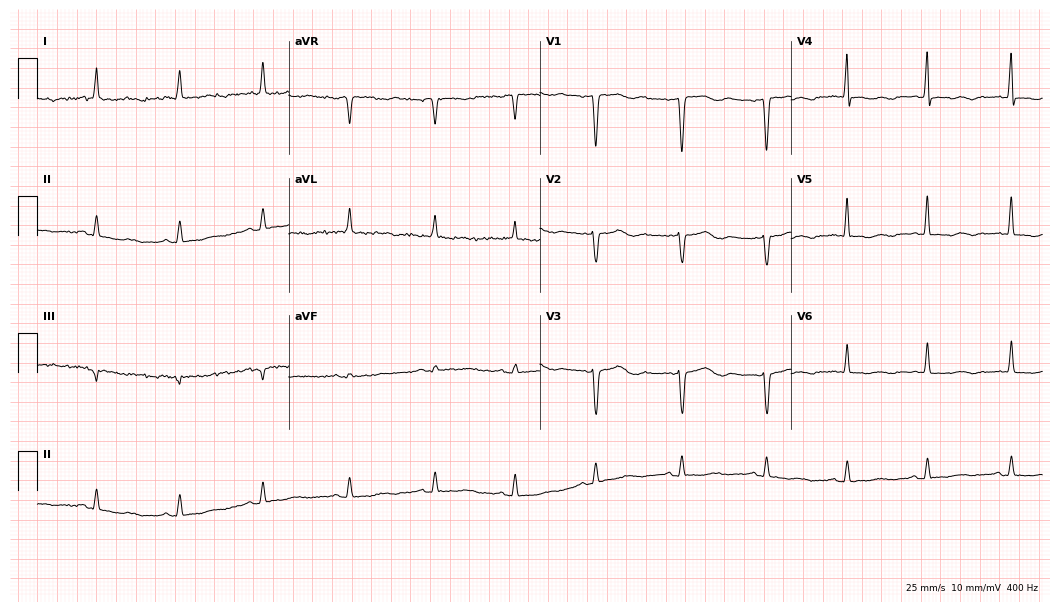
ECG (10.2-second recording at 400 Hz) — a 33-year-old woman. Screened for six findings — first-degree AV block, right bundle branch block, left bundle branch block, sinus bradycardia, atrial fibrillation, sinus tachycardia — none is recorded.